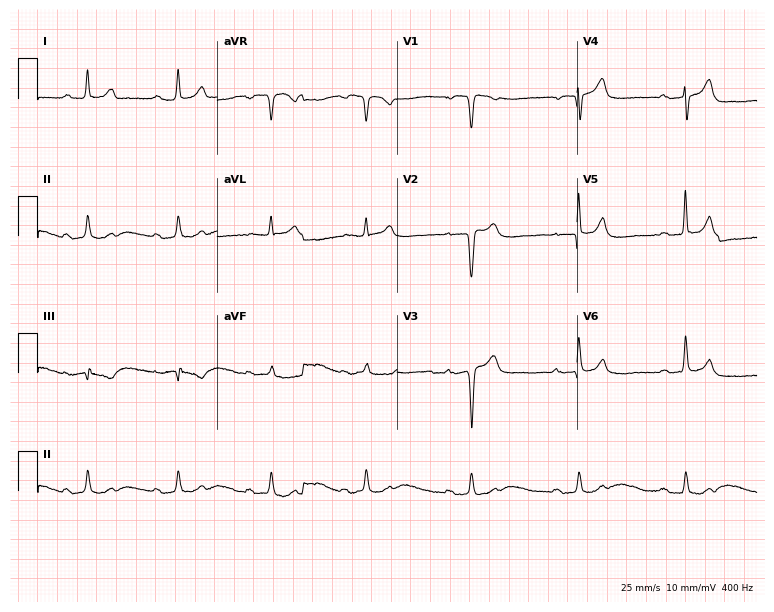
12-lead ECG from a 57-year-old male (7.3-second recording at 400 Hz). Shows first-degree AV block.